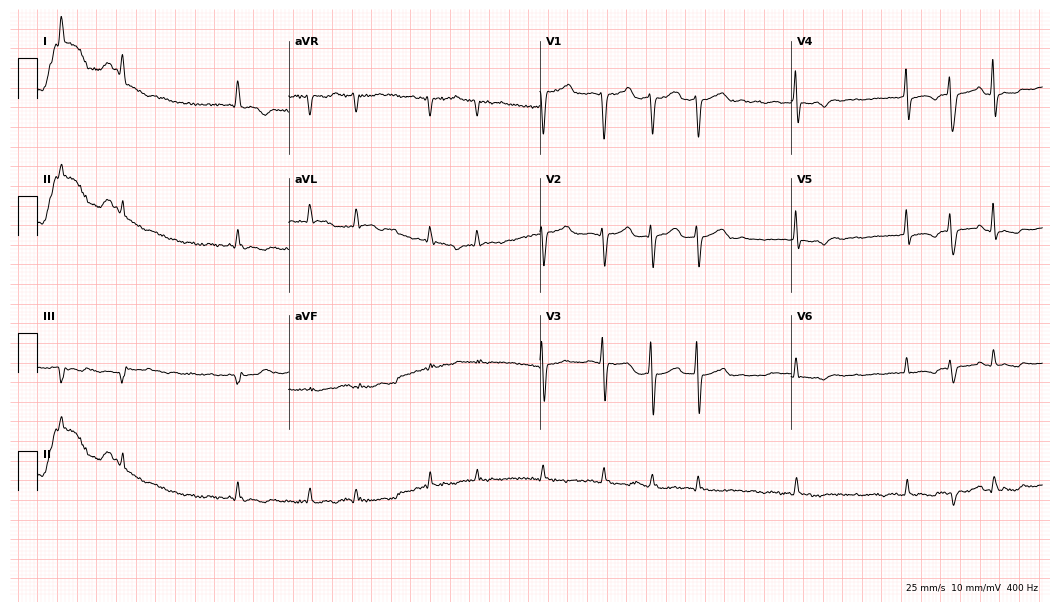
12-lead ECG (10.2-second recording at 400 Hz) from a man, 68 years old. Findings include atrial fibrillation.